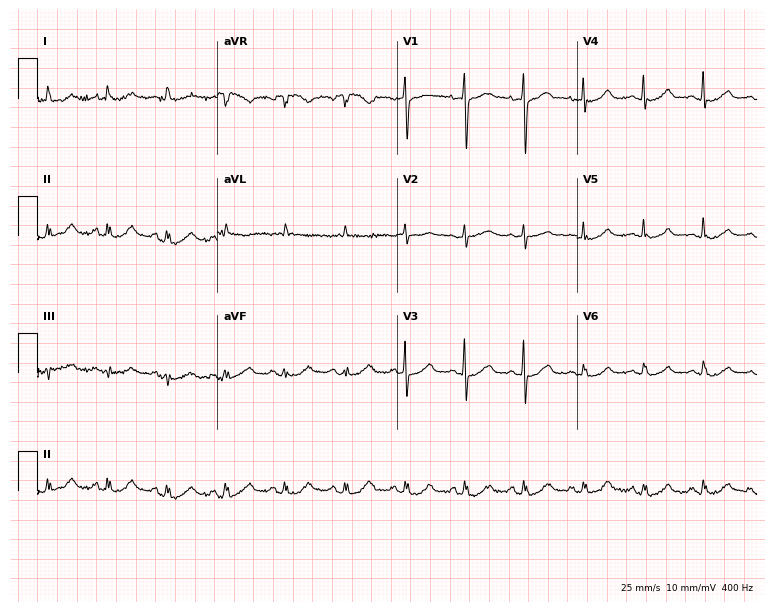
Standard 12-lead ECG recorded from an 81-year-old female (7.3-second recording at 400 Hz). None of these six findings is recorded: first-degree AV block, right bundle branch block, left bundle branch block, sinus bradycardia, atrial fibrillation, sinus tachycardia. Only these six findings were labelled.